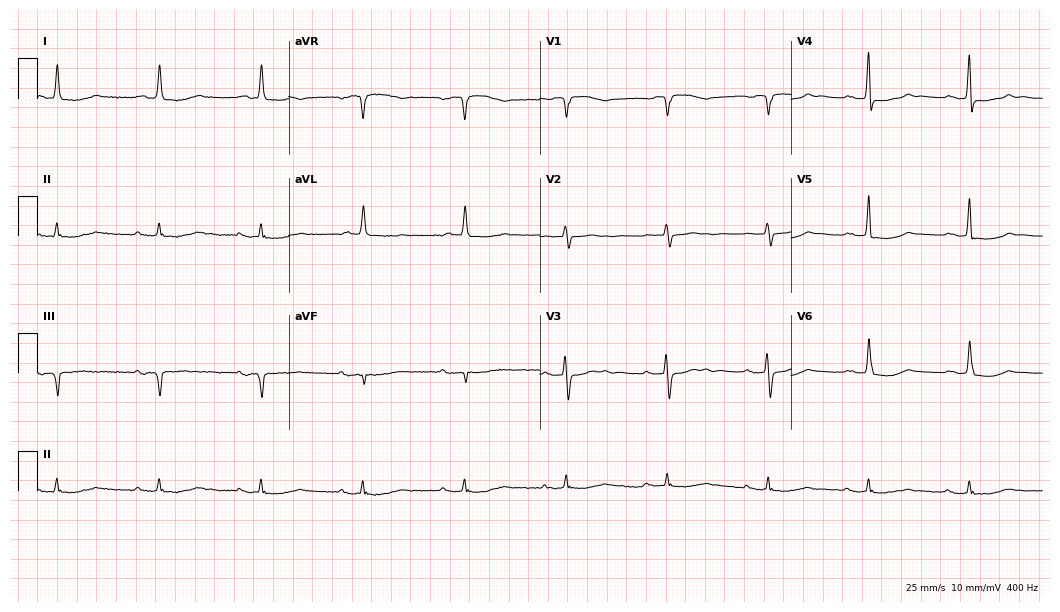
Resting 12-lead electrocardiogram. Patient: a female, 85 years old. None of these six findings is recorded: first-degree AV block, right bundle branch block (RBBB), left bundle branch block (LBBB), sinus bradycardia, atrial fibrillation (AF), sinus tachycardia. Findings outside these six are not listed.